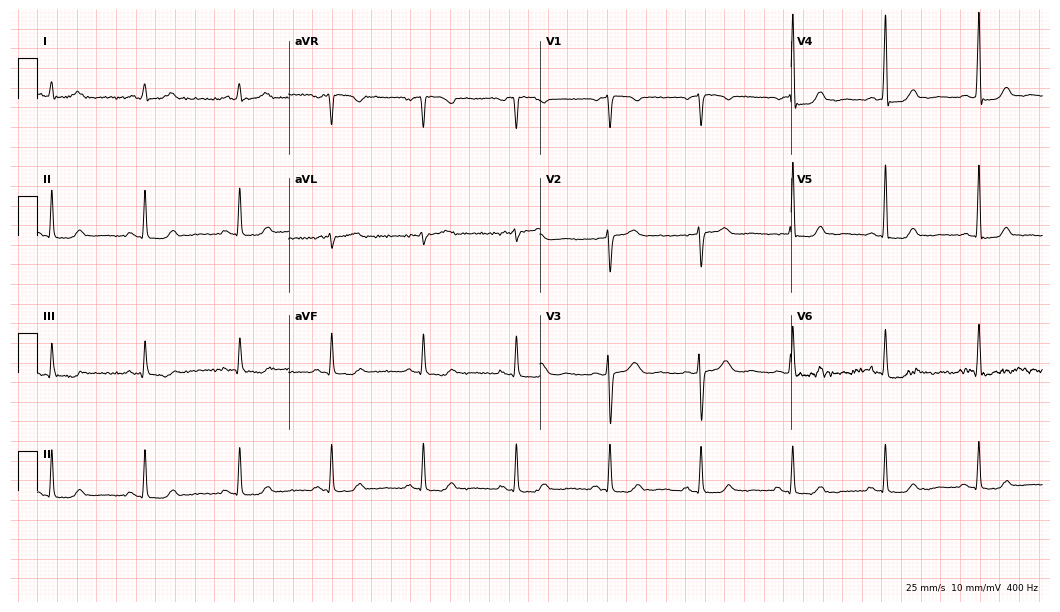
Resting 12-lead electrocardiogram (10.2-second recording at 400 Hz). Patient: a female, 50 years old. None of these six findings is recorded: first-degree AV block, right bundle branch block, left bundle branch block, sinus bradycardia, atrial fibrillation, sinus tachycardia. Findings outside these six are not listed.